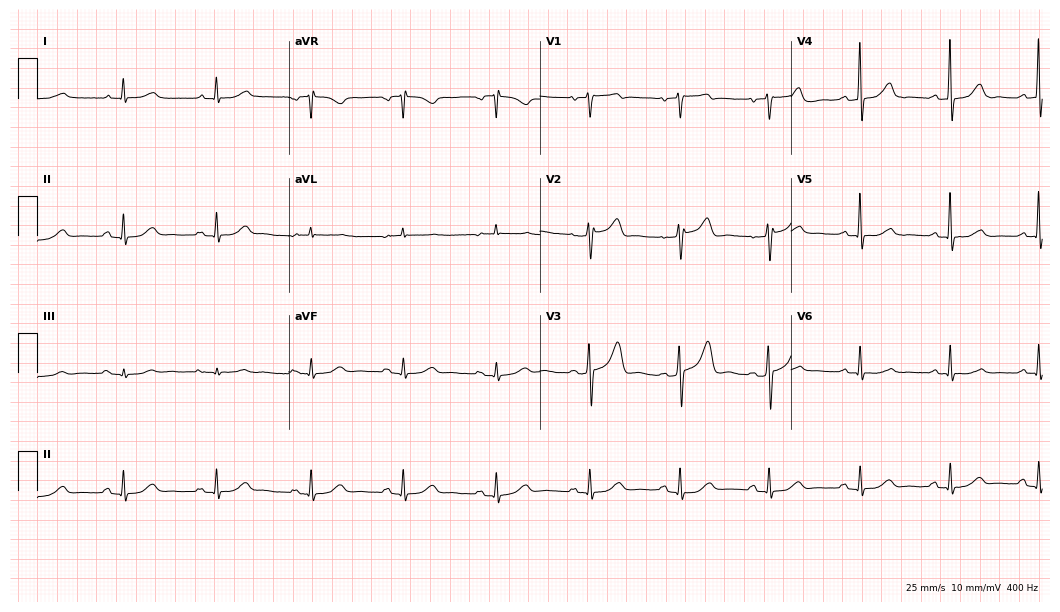
12-lead ECG from a 74-year-old male patient (10.2-second recording at 400 Hz). Recorded interpretation: within normal limits.